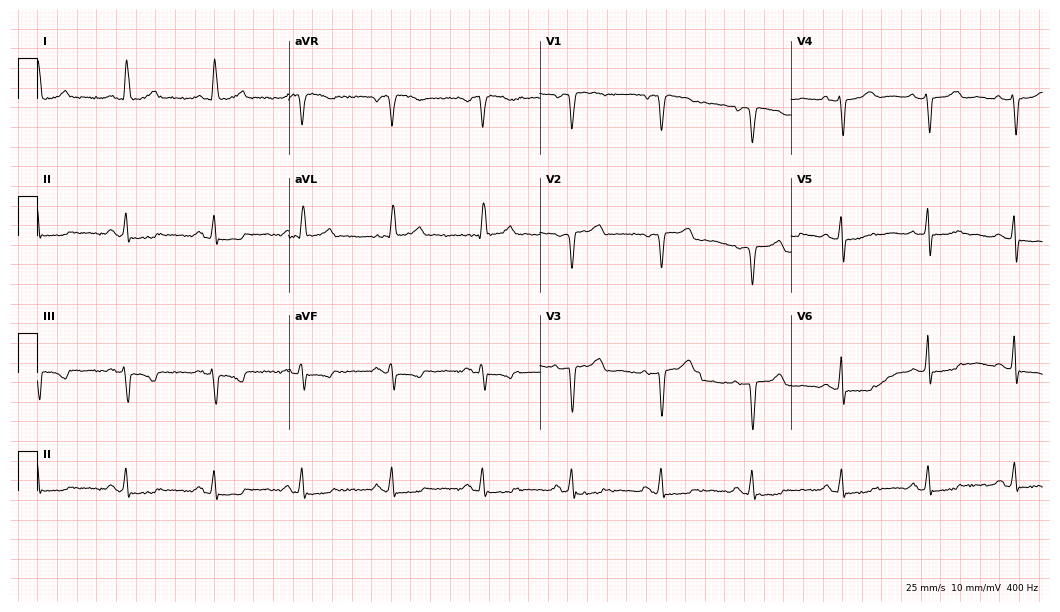
Standard 12-lead ECG recorded from a female, 59 years old. None of these six findings is recorded: first-degree AV block, right bundle branch block, left bundle branch block, sinus bradycardia, atrial fibrillation, sinus tachycardia. Findings outside these six are not listed.